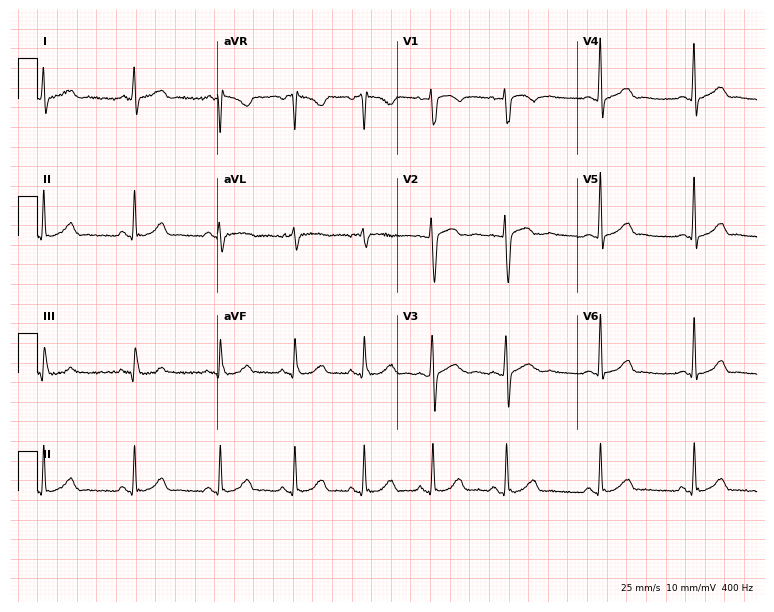
Standard 12-lead ECG recorded from a female patient, 34 years old. Read as a normal ECG.